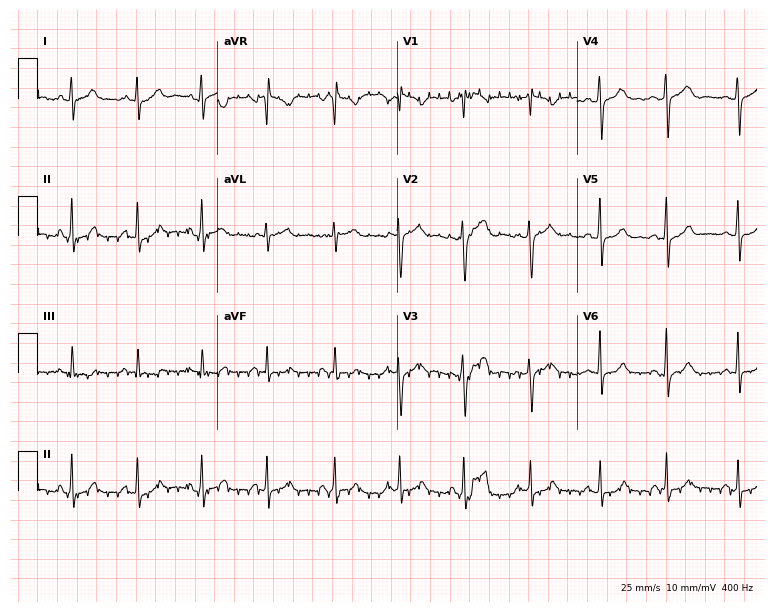
12-lead ECG from a 50-year-old female. No first-degree AV block, right bundle branch block, left bundle branch block, sinus bradycardia, atrial fibrillation or sinus tachycardia recorded for this tracing.